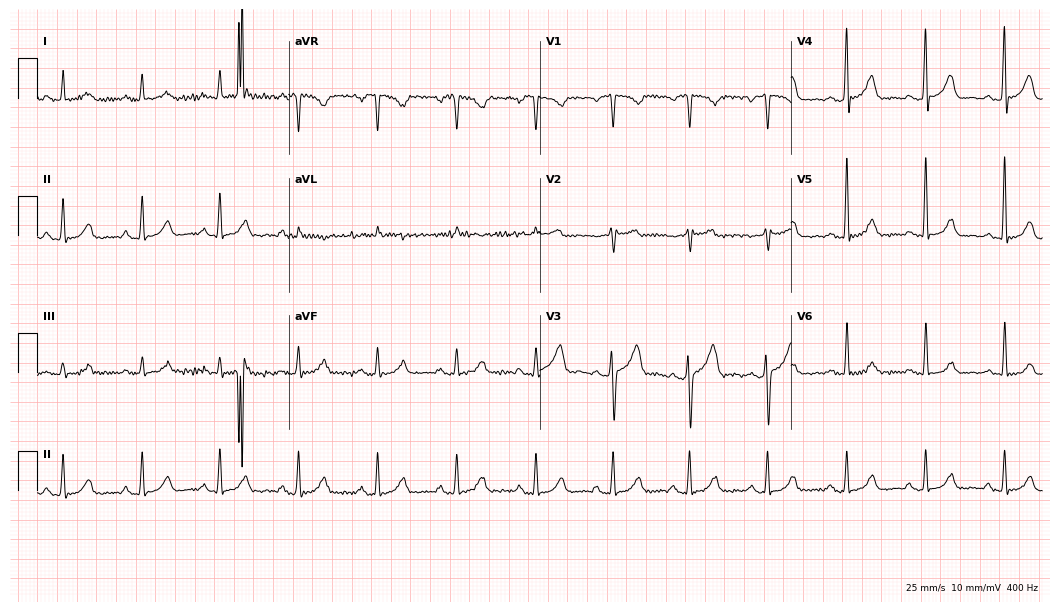
ECG — a 42-year-old female. Screened for six findings — first-degree AV block, right bundle branch block (RBBB), left bundle branch block (LBBB), sinus bradycardia, atrial fibrillation (AF), sinus tachycardia — none is recorded.